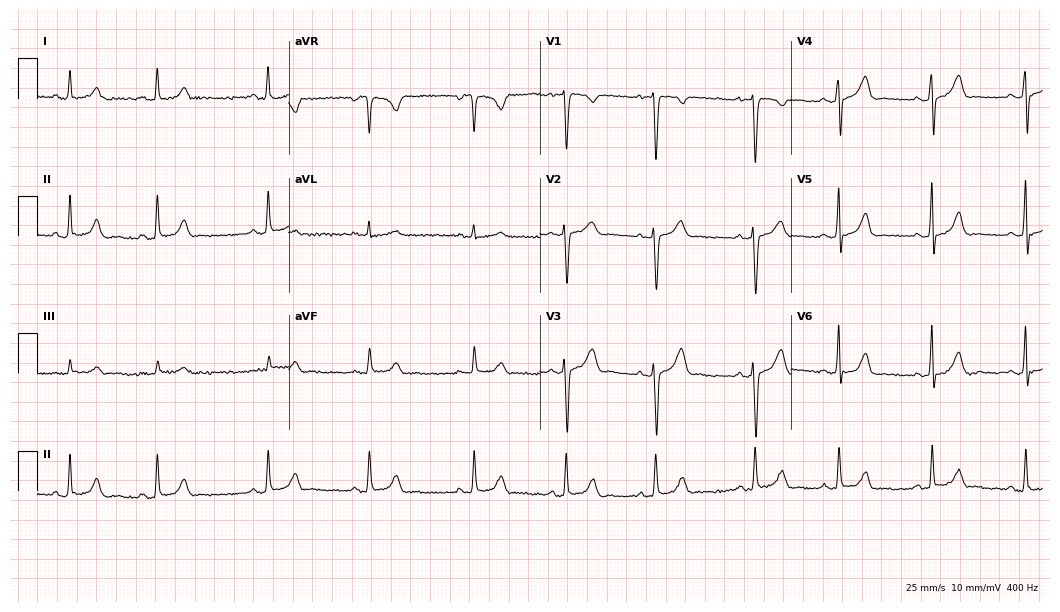
ECG (10.2-second recording at 400 Hz) — a female patient, 20 years old. Labelled as a normal ECG.